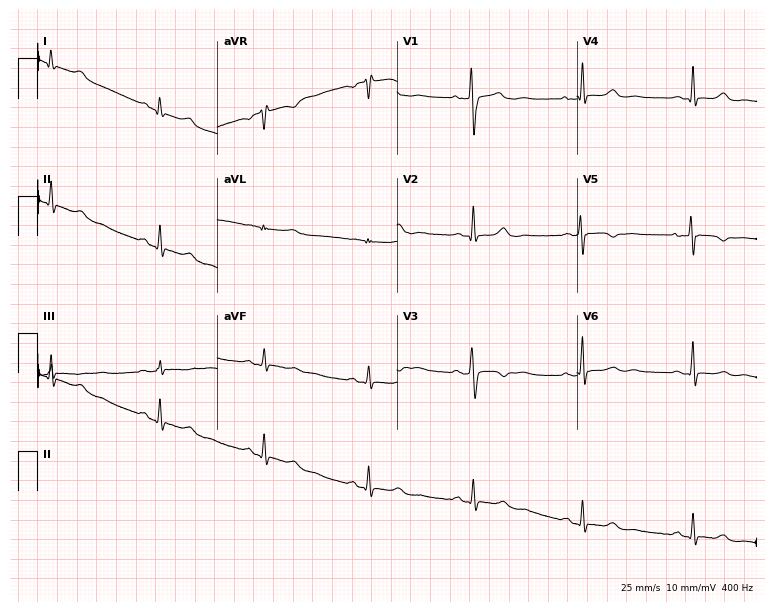
ECG — a 32-year-old female patient. Screened for six findings — first-degree AV block, right bundle branch block, left bundle branch block, sinus bradycardia, atrial fibrillation, sinus tachycardia — none is recorded. Only these six findings were labelled.